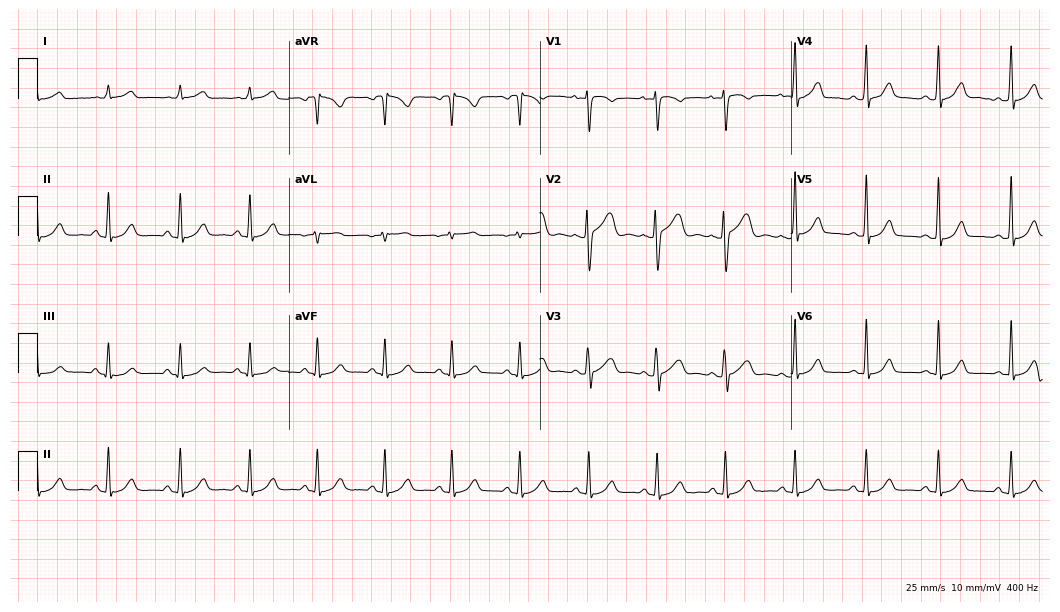
ECG — a 37-year-old female patient. Labelled as a normal ECG.